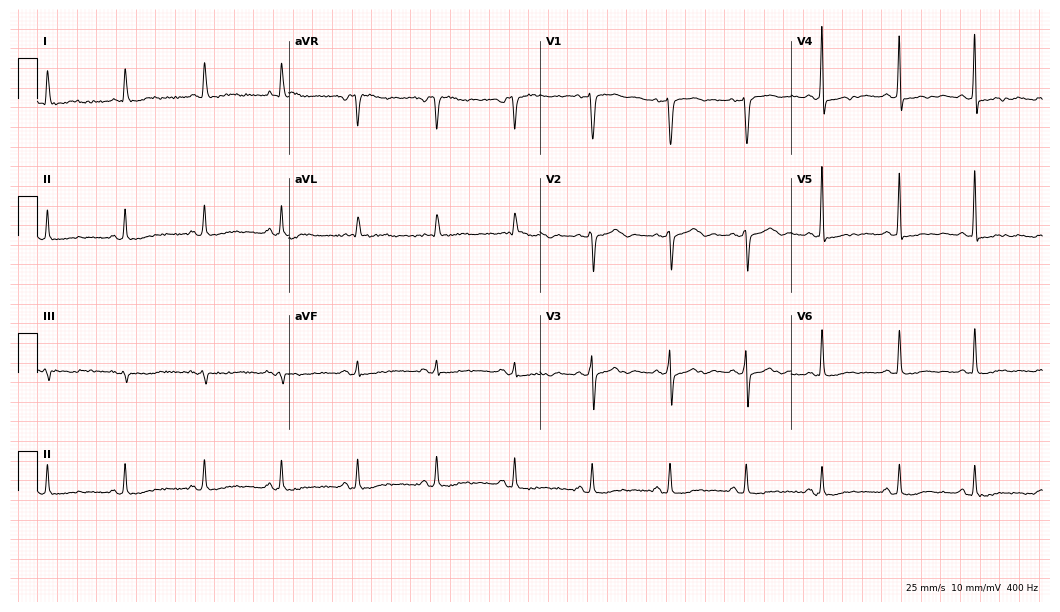
Electrocardiogram (10.2-second recording at 400 Hz), a 71-year-old woman. Of the six screened findings (first-degree AV block, right bundle branch block, left bundle branch block, sinus bradycardia, atrial fibrillation, sinus tachycardia), none is recorded.